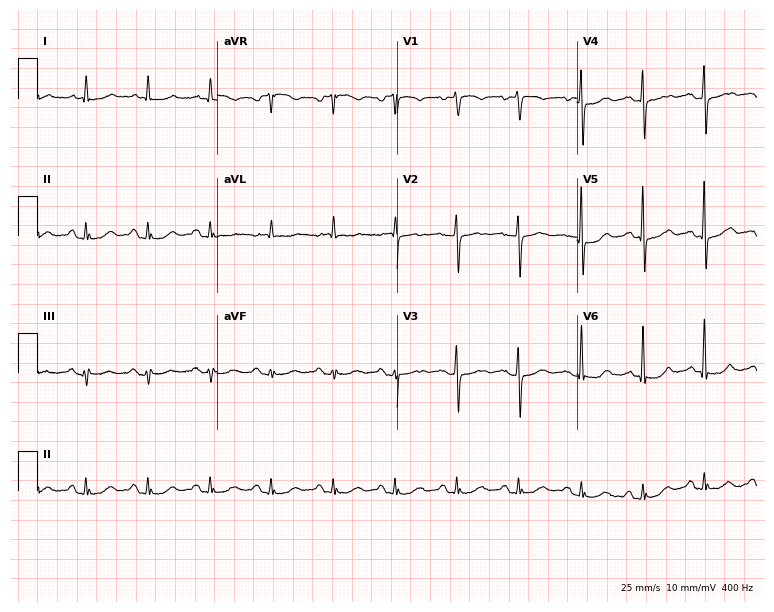
Standard 12-lead ECG recorded from an 85-year-old female. None of these six findings is recorded: first-degree AV block, right bundle branch block (RBBB), left bundle branch block (LBBB), sinus bradycardia, atrial fibrillation (AF), sinus tachycardia. Other findings, if any, are not listed.